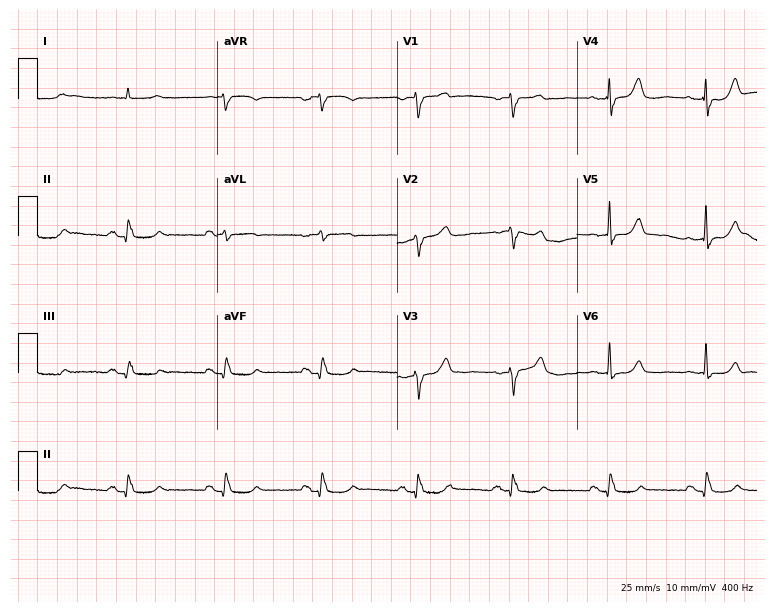
Standard 12-lead ECG recorded from a male, 79 years old (7.3-second recording at 400 Hz). None of these six findings is recorded: first-degree AV block, right bundle branch block, left bundle branch block, sinus bradycardia, atrial fibrillation, sinus tachycardia.